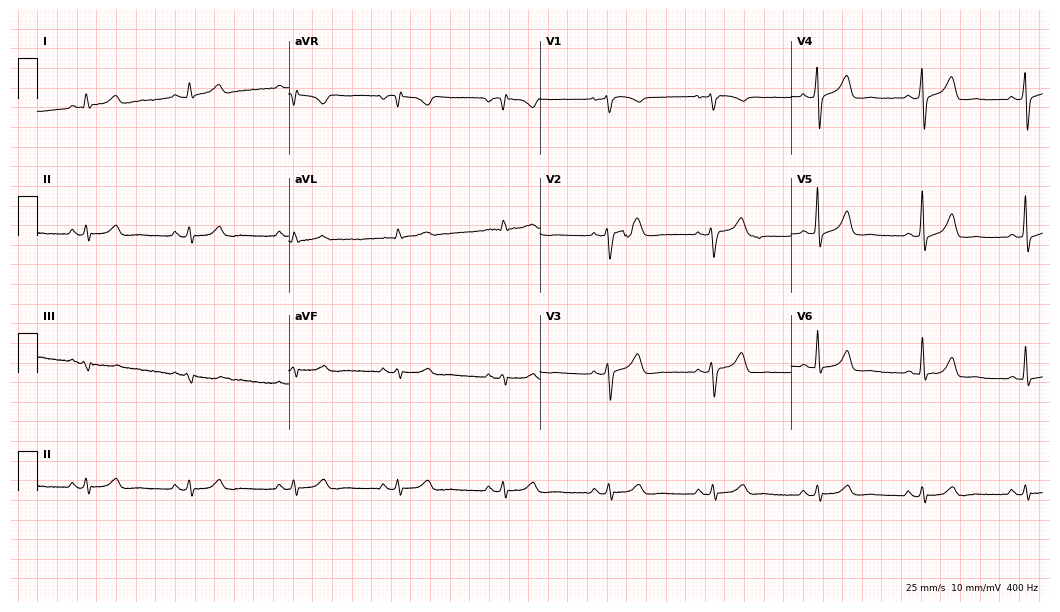
12-lead ECG from a 47-year-old man (10.2-second recording at 400 Hz). Recorded interpretation: within normal limits.